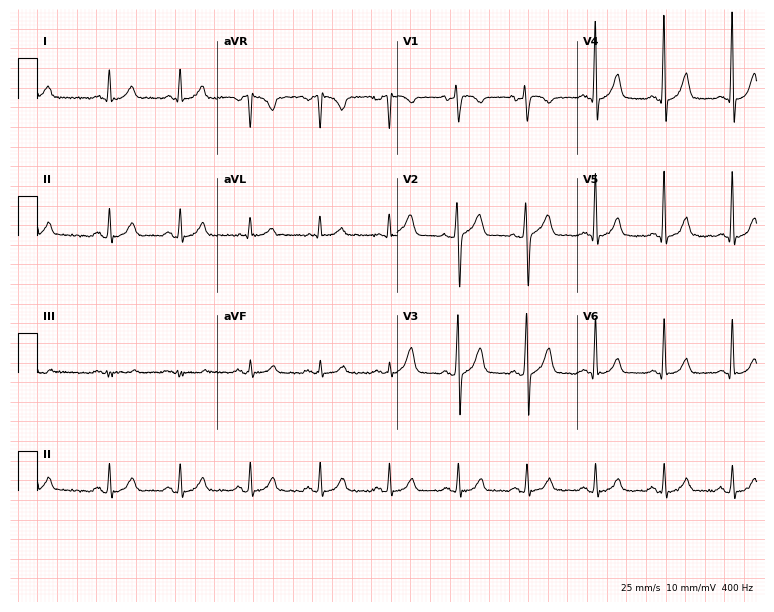
ECG — a male, 59 years old. Labelled as a normal ECG.